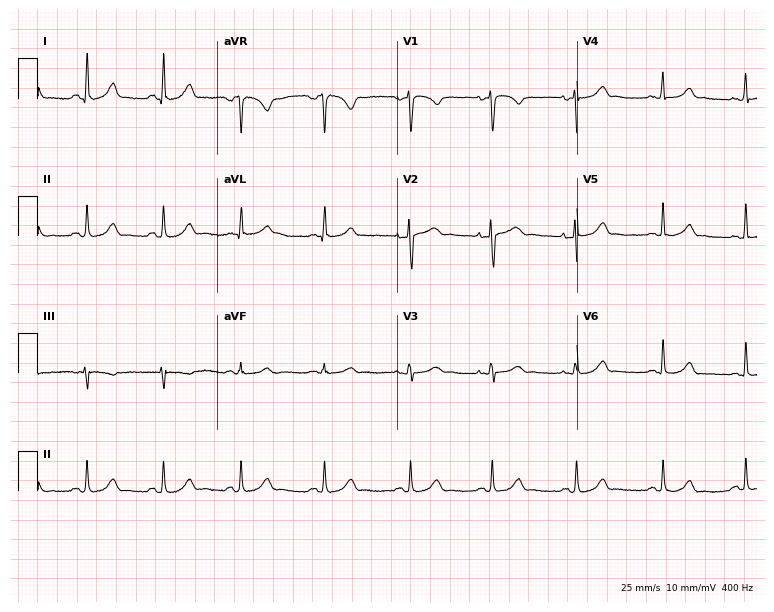
12-lead ECG from a 39-year-old woman (7.3-second recording at 400 Hz). No first-degree AV block, right bundle branch block (RBBB), left bundle branch block (LBBB), sinus bradycardia, atrial fibrillation (AF) or sinus tachycardia recorded for this tracing. Other findings, if any, are not listed.